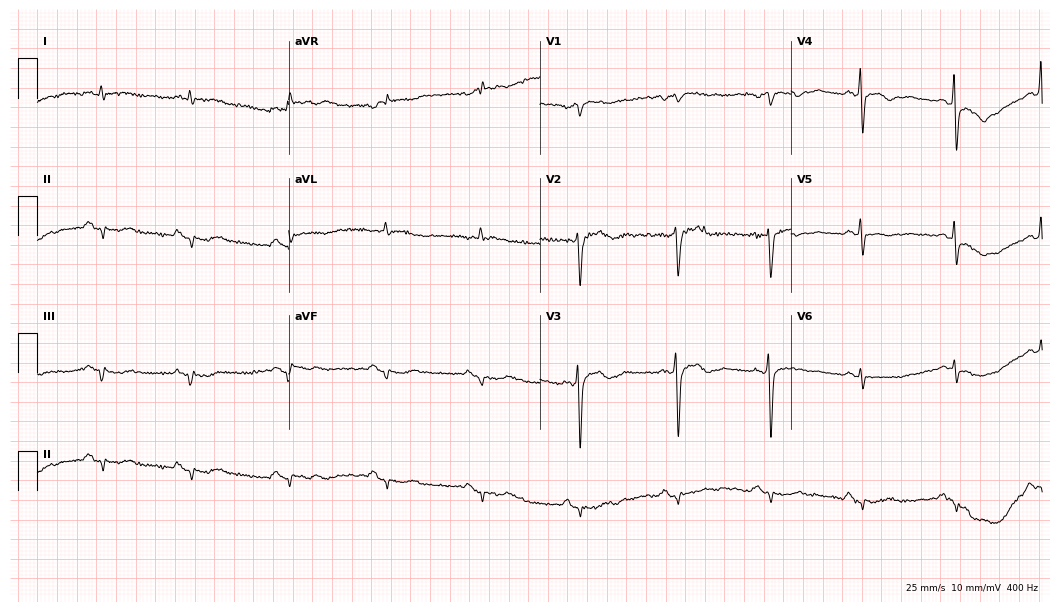
Standard 12-lead ECG recorded from a male patient, 73 years old. None of these six findings is recorded: first-degree AV block, right bundle branch block (RBBB), left bundle branch block (LBBB), sinus bradycardia, atrial fibrillation (AF), sinus tachycardia.